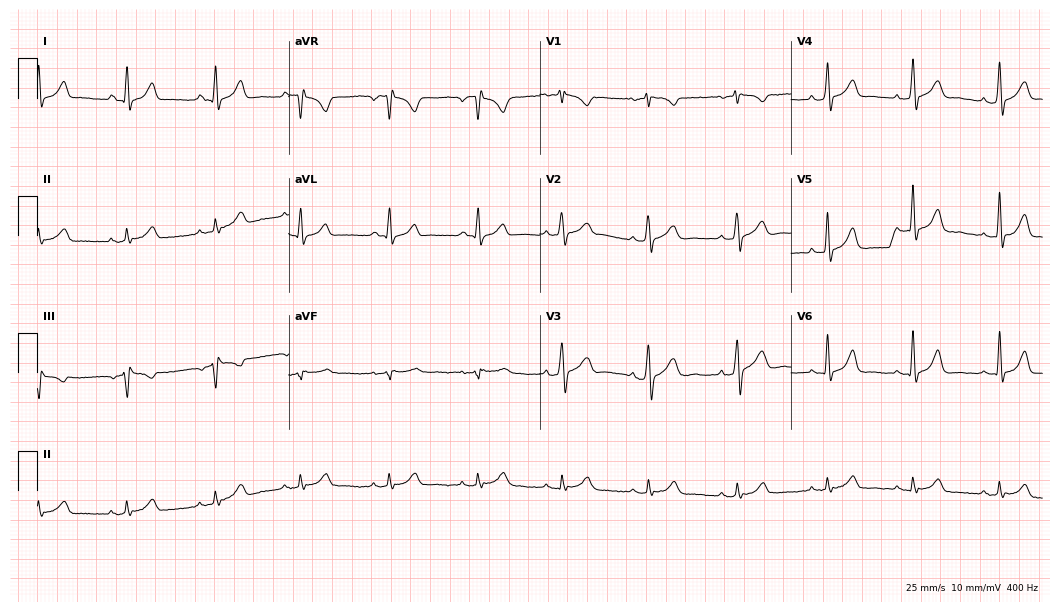
Resting 12-lead electrocardiogram (10.2-second recording at 400 Hz). Patient: a 41-year-old man. Read as a normal ECG.